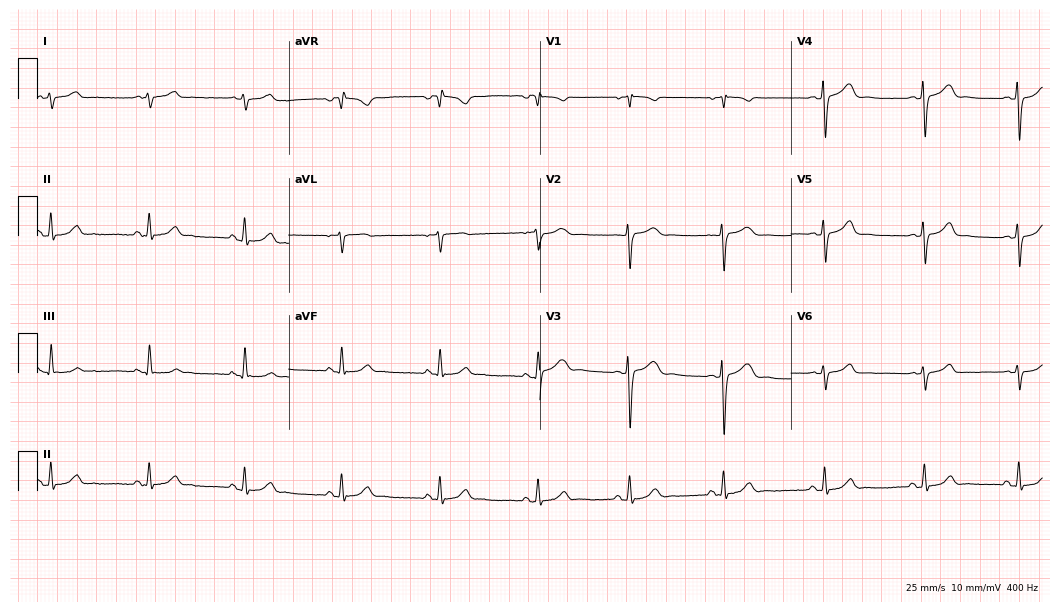
ECG — a female, 19 years old. Screened for six findings — first-degree AV block, right bundle branch block, left bundle branch block, sinus bradycardia, atrial fibrillation, sinus tachycardia — none is recorded. Other findings, if any, are not listed.